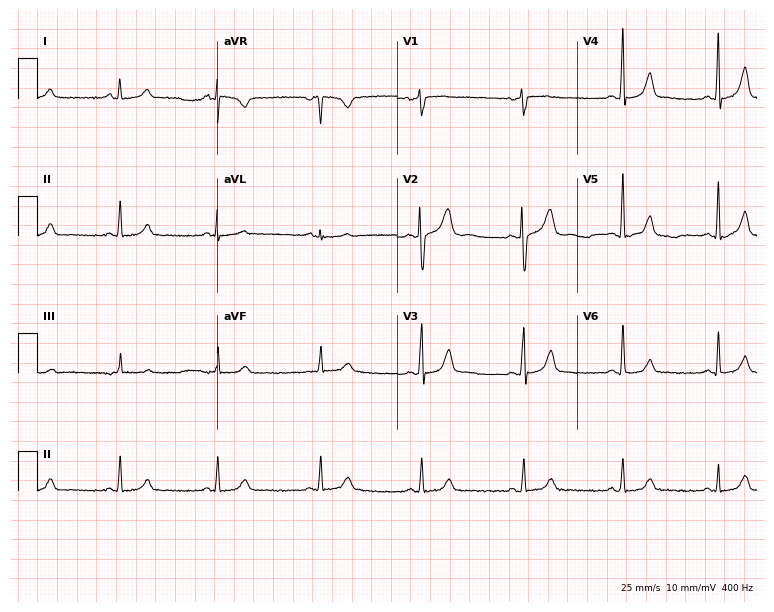
Resting 12-lead electrocardiogram. Patient: a 27-year-old female. Read as a normal ECG.